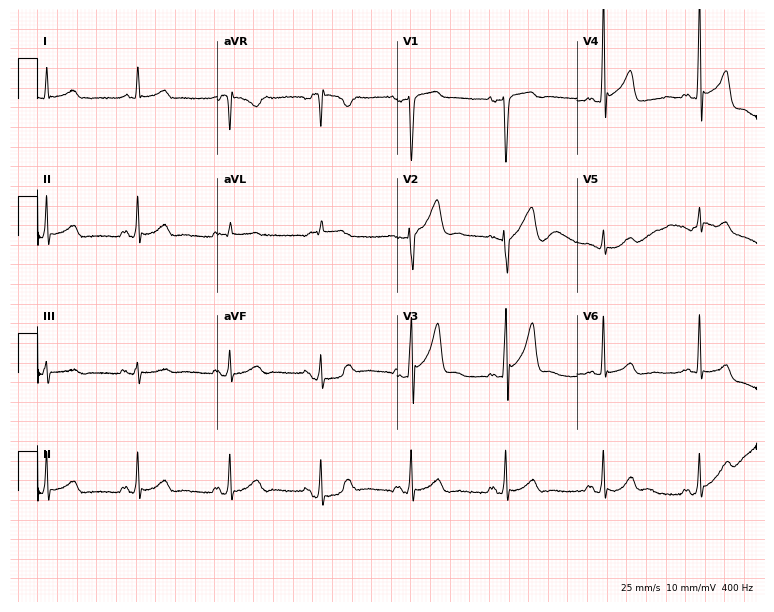
12-lead ECG from a 49-year-old male (7.3-second recording at 400 Hz). Recorded interpretation: within normal limits.